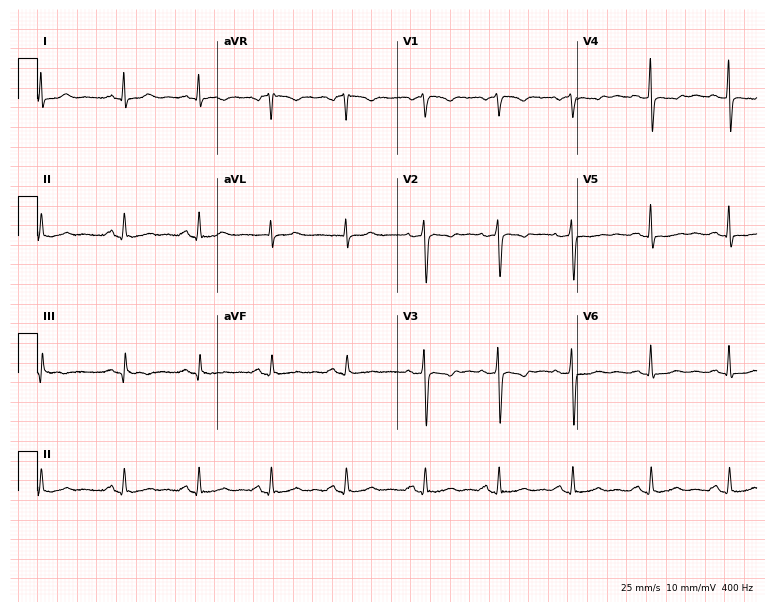
12-lead ECG from a 35-year-old woman. Screened for six findings — first-degree AV block, right bundle branch block, left bundle branch block, sinus bradycardia, atrial fibrillation, sinus tachycardia — none is recorded.